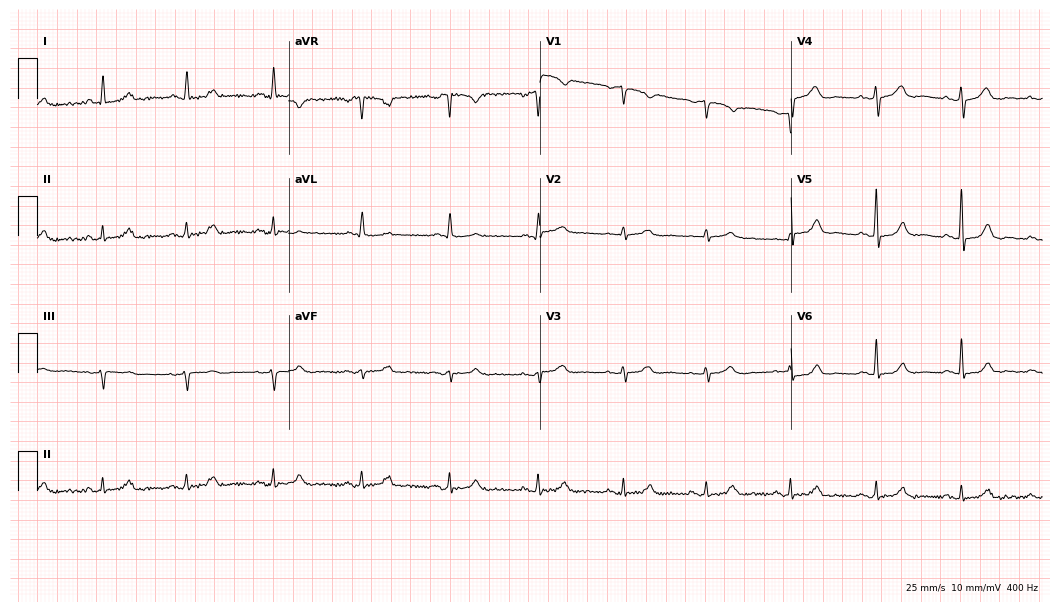
12-lead ECG (10.2-second recording at 400 Hz) from a female, 56 years old. Labelled as a normal ECG.